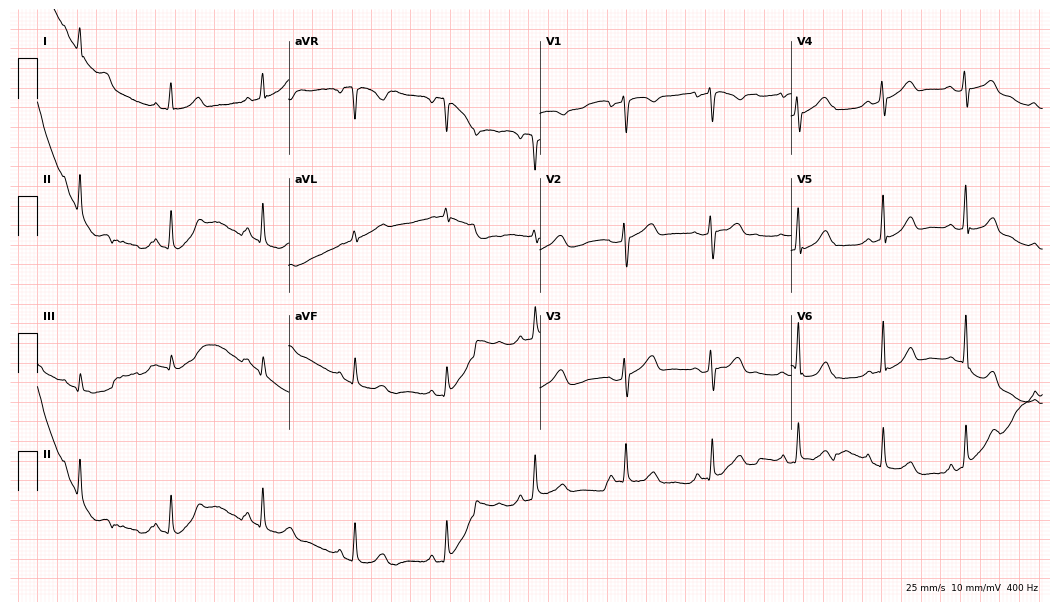
12-lead ECG (10.2-second recording at 400 Hz) from a 44-year-old female. Labelled as a normal ECG.